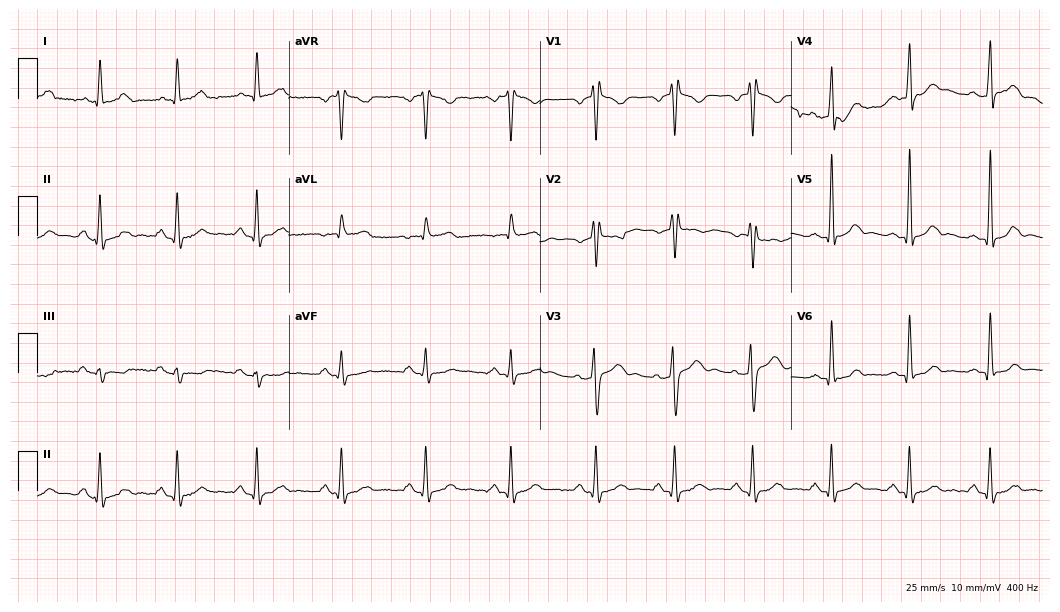
12-lead ECG from a male, 36 years old. Screened for six findings — first-degree AV block, right bundle branch block, left bundle branch block, sinus bradycardia, atrial fibrillation, sinus tachycardia — none is recorded. Only these six findings were labelled.